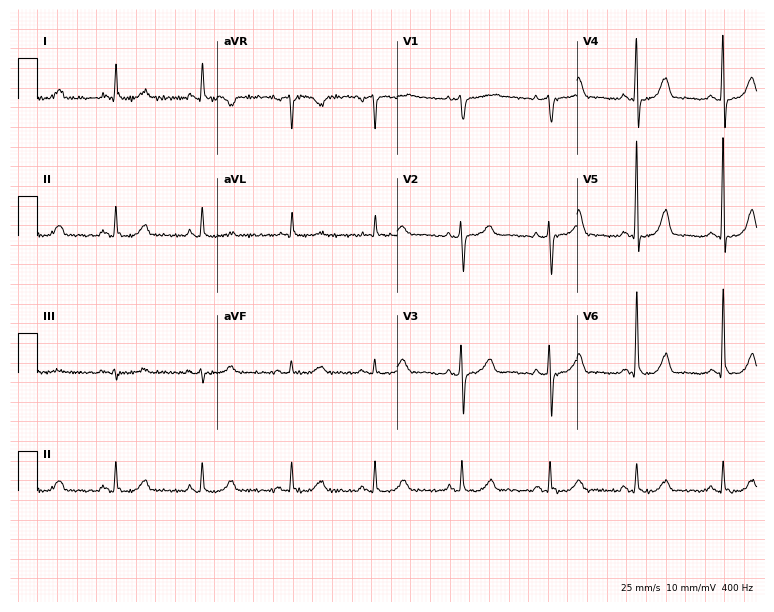
Standard 12-lead ECG recorded from an 81-year-old woman. None of these six findings is recorded: first-degree AV block, right bundle branch block (RBBB), left bundle branch block (LBBB), sinus bradycardia, atrial fibrillation (AF), sinus tachycardia.